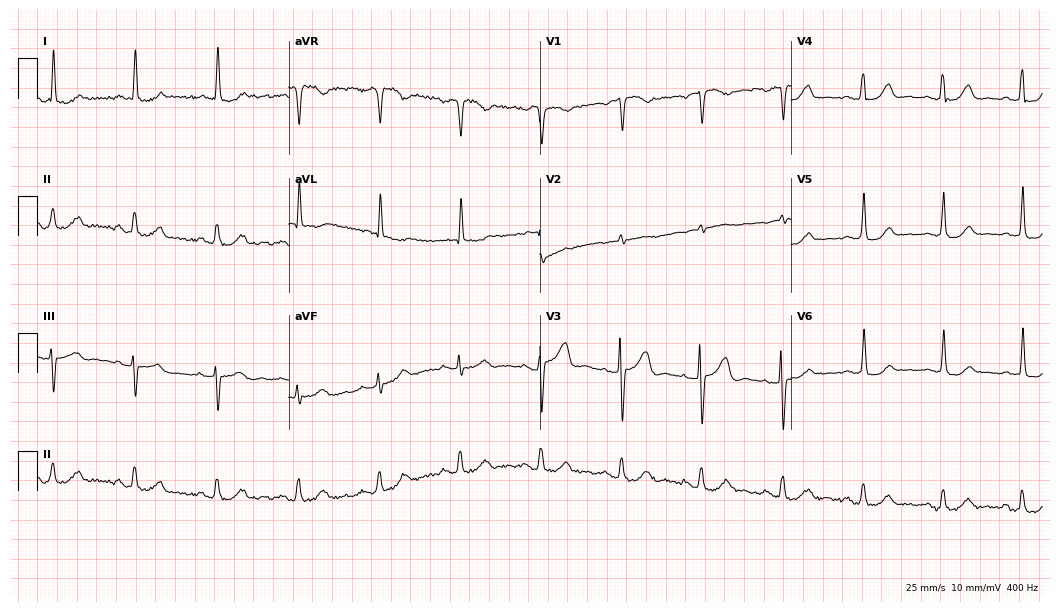
12-lead ECG from a female patient, 76 years old (10.2-second recording at 400 Hz). No first-degree AV block, right bundle branch block, left bundle branch block, sinus bradycardia, atrial fibrillation or sinus tachycardia recorded for this tracing.